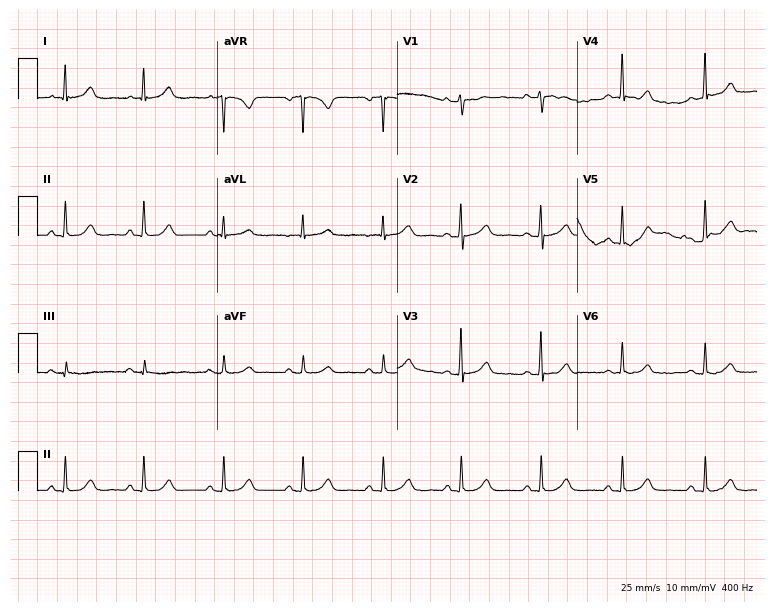
Standard 12-lead ECG recorded from a 48-year-old female patient. Read as a normal ECG.